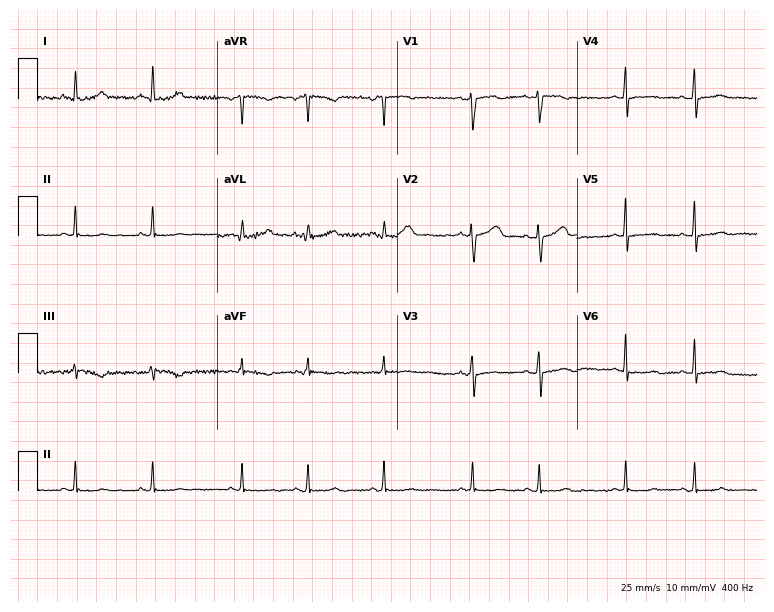
Electrocardiogram (7.3-second recording at 400 Hz), a female, 42 years old. Of the six screened findings (first-degree AV block, right bundle branch block, left bundle branch block, sinus bradycardia, atrial fibrillation, sinus tachycardia), none is recorded. Other findings, if any, are not listed.